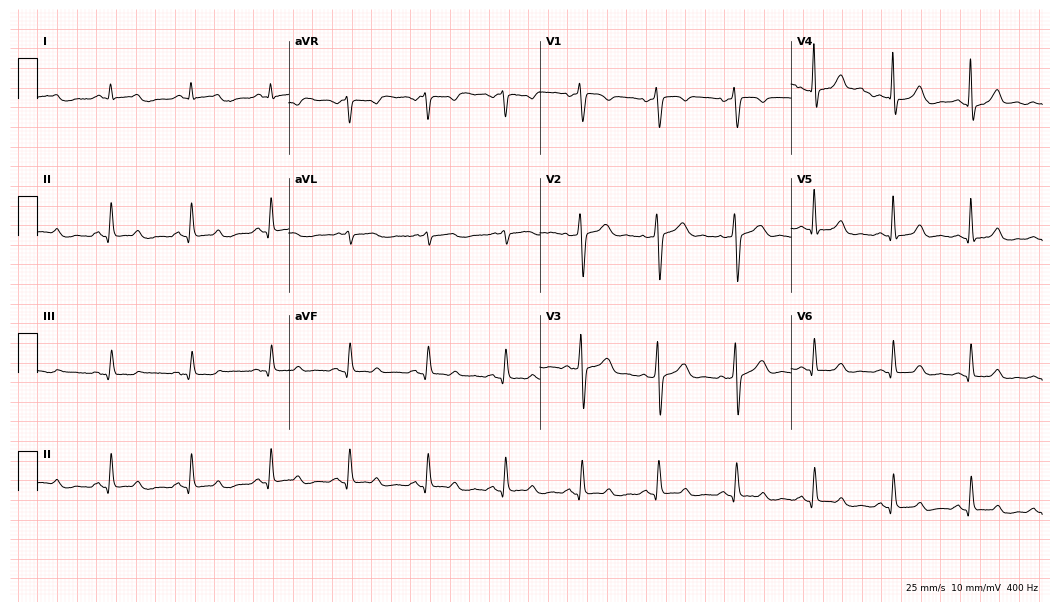
12-lead ECG from a male patient, 50 years old. Recorded interpretation: within normal limits.